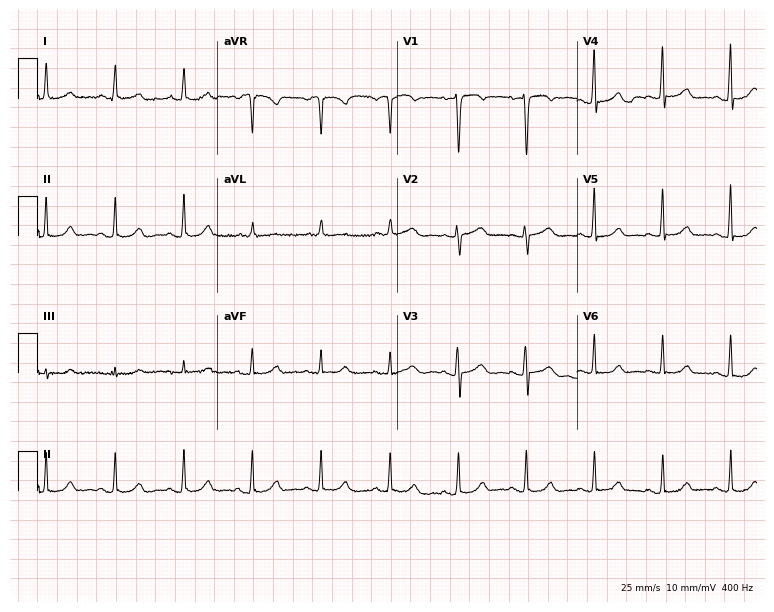
12-lead ECG from a woman, 73 years old. Recorded interpretation: within normal limits.